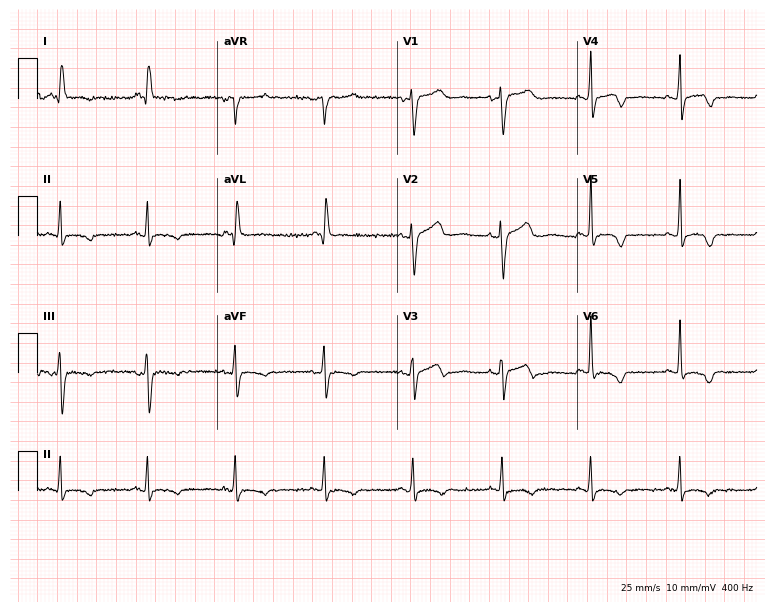
12-lead ECG from a woman, 73 years old (7.3-second recording at 400 Hz). No first-degree AV block, right bundle branch block (RBBB), left bundle branch block (LBBB), sinus bradycardia, atrial fibrillation (AF) or sinus tachycardia recorded for this tracing. Other findings, if any, are not listed.